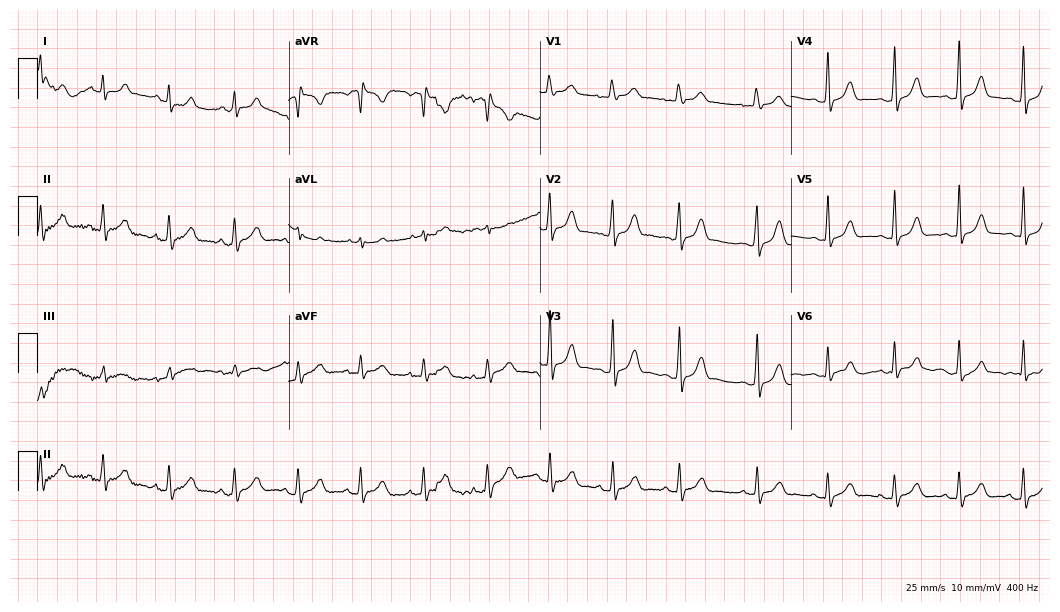
Standard 12-lead ECG recorded from a male, 18 years old. Read as a normal ECG.